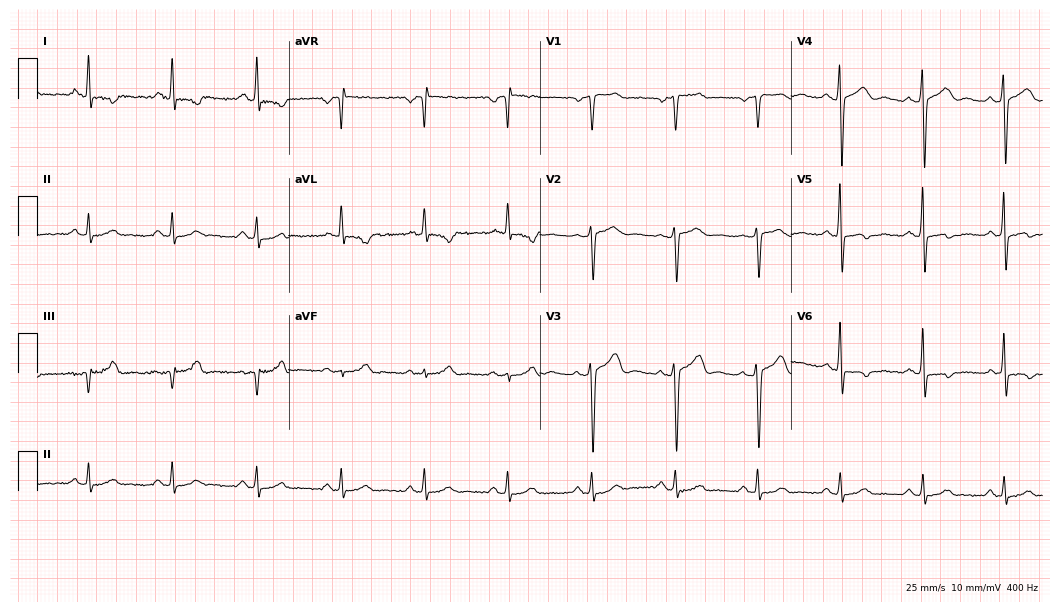
12-lead ECG from a male patient, 62 years old (10.2-second recording at 400 Hz). No first-degree AV block, right bundle branch block (RBBB), left bundle branch block (LBBB), sinus bradycardia, atrial fibrillation (AF) or sinus tachycardia recorded for this tracing.